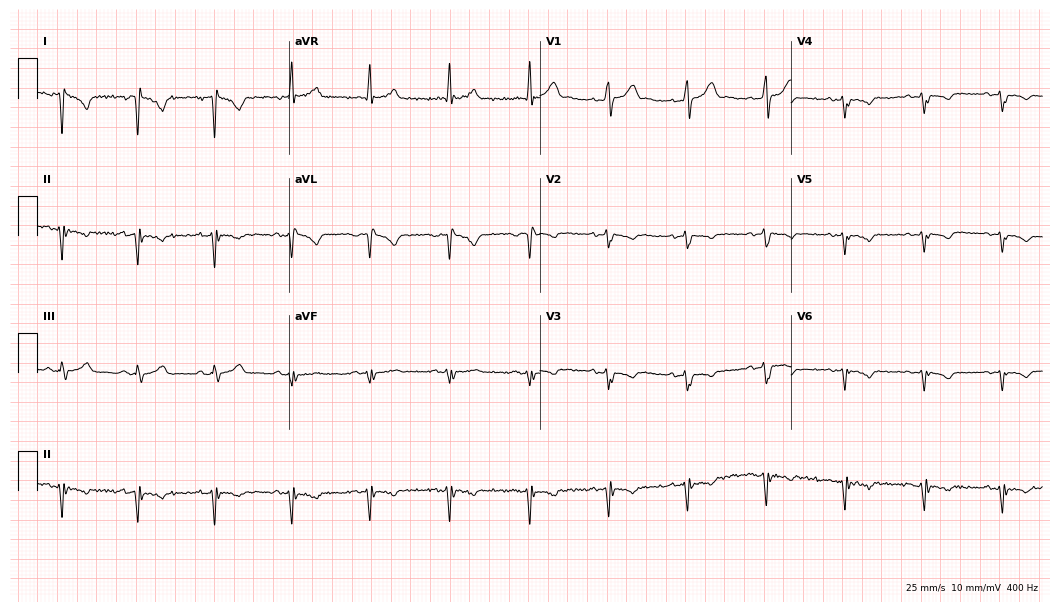
Electrocardiogram, a 33-year-old male. Of the six screened findings (first-degree AV block, right bundle branch block (RBBB), left bundle branch block (LBBB), sinus bradycardia, atrial fibrillation (AF), sinus tachycardia), none is recorded.